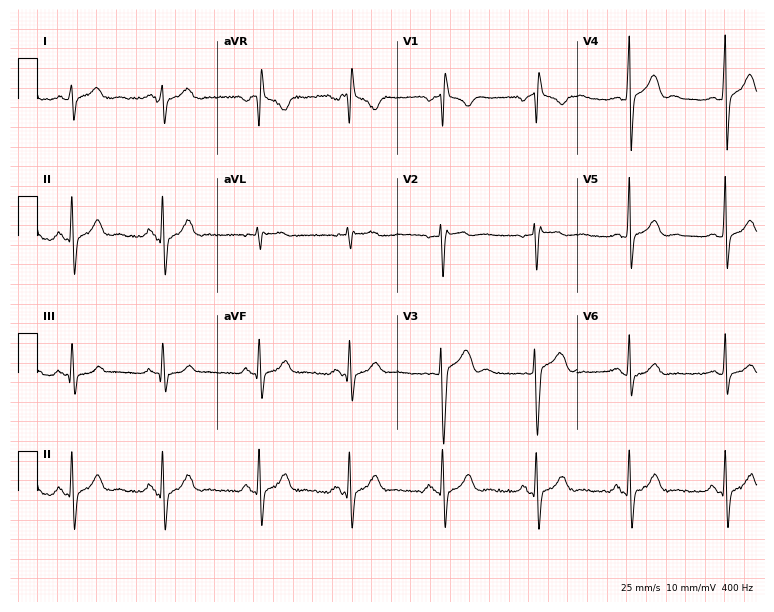
Standard 12-lead ECG recorded from a male, 21 years old (7.3-second recording at 400 Hz). None of these six findings is recorded: first-degree AV block, right bundle branch block (RBBB), left bundle branch block (LBBB), sinus bradycardia, atrial fibrillation (AF), sinus tachycardia. Other findings, if any, are not listed.